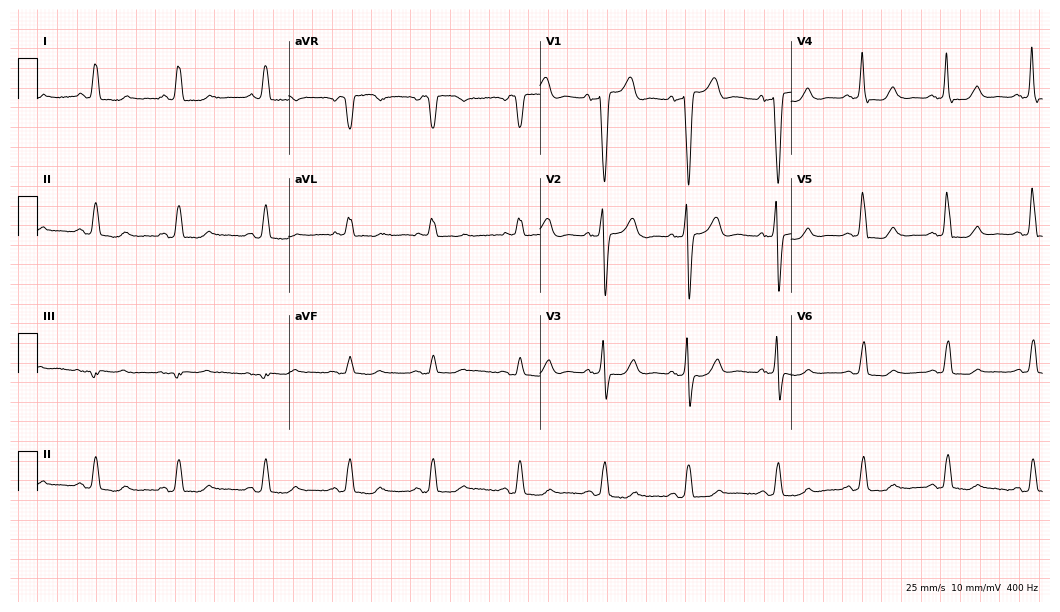
Standard 12-lead ECG recorded from a female, 81 years old. None of these six findings is recorded: first-degree AV block, right bundle branch block, left bundle branch block, sinus bradycardia, atrial fibrillation, sinus tachycardia.